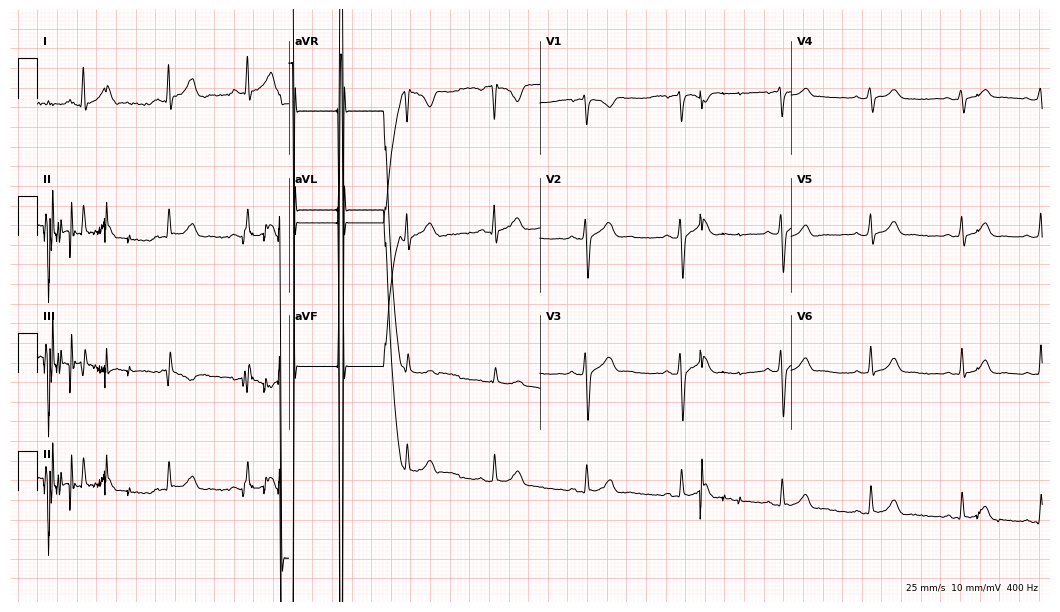
Electrocardiogram, a male patient, 24 years old. Of the six screened findings (first-degree AV block, right bundle branch block, left bundle branch block, sinus bradycardia, atrial fibrillation, sinus tachycardia), none is recorded. Only these six findings were labelled.